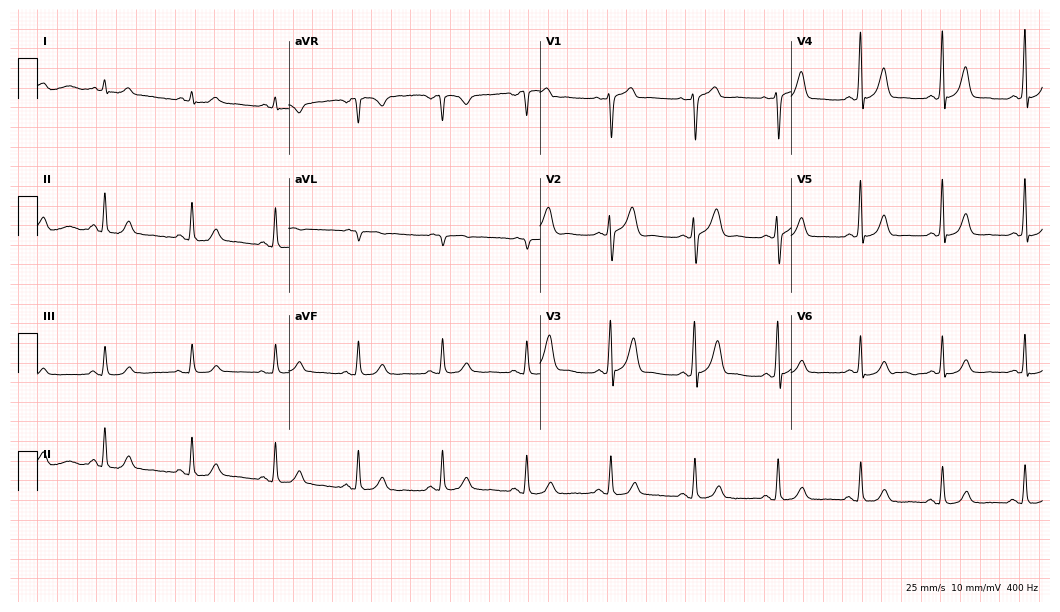
12-lead ECG (10.2-second recording at 400 Hz) from a male patient, 53 years old. Labelled as a normal ECG.